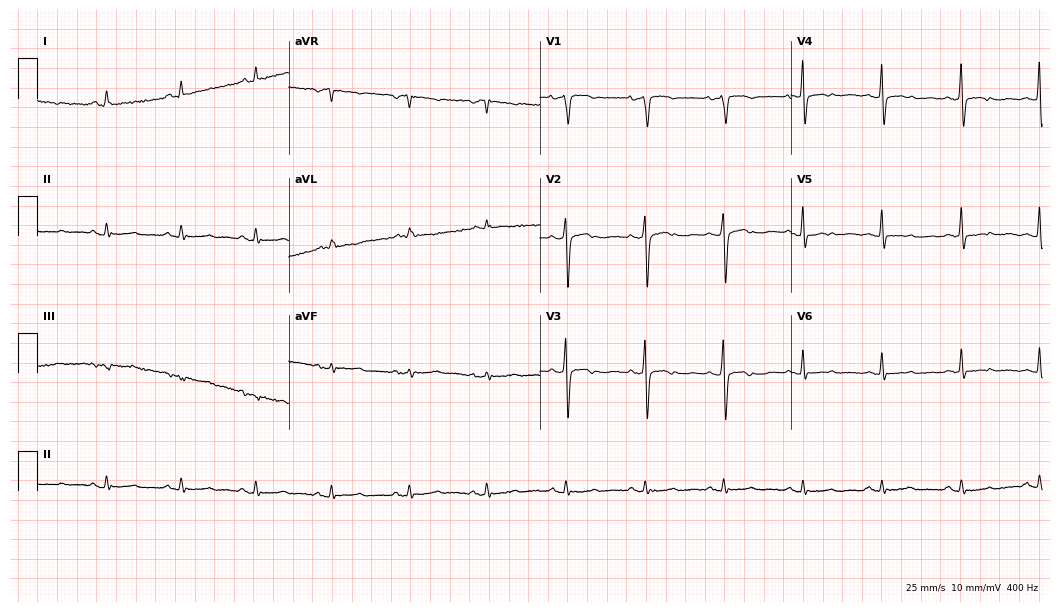
Resting 12-lead electrocardiogram. Patient: a 79-year-old female. None of these six findings is recorded: first-degree AV block, right bundle branch block, left bundle branch block, sinus bradycardia, atrial fibrillation, sinus tachycardia. Other findings, if any, are not listed.